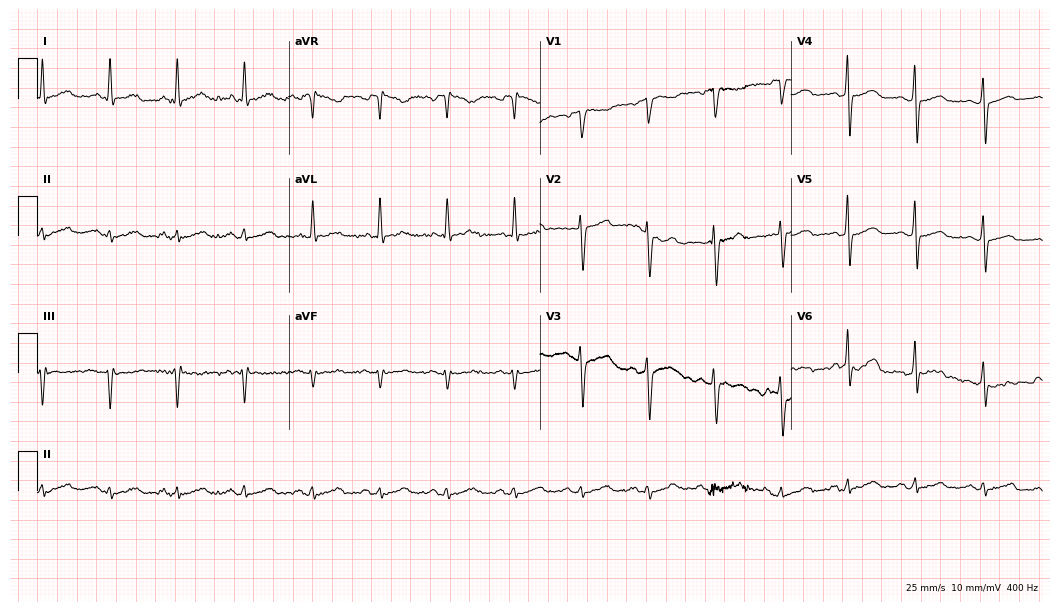
ECG — a 50-year-old woman. Screened for six findings — first-degree AV block, right bundle branch block (RBBB), left bundle branch block (LBBB), sinus bradycardia, atrial fibrillation (AF), sinus tachycardia — none is recorded. Findings outside these six are not listed.